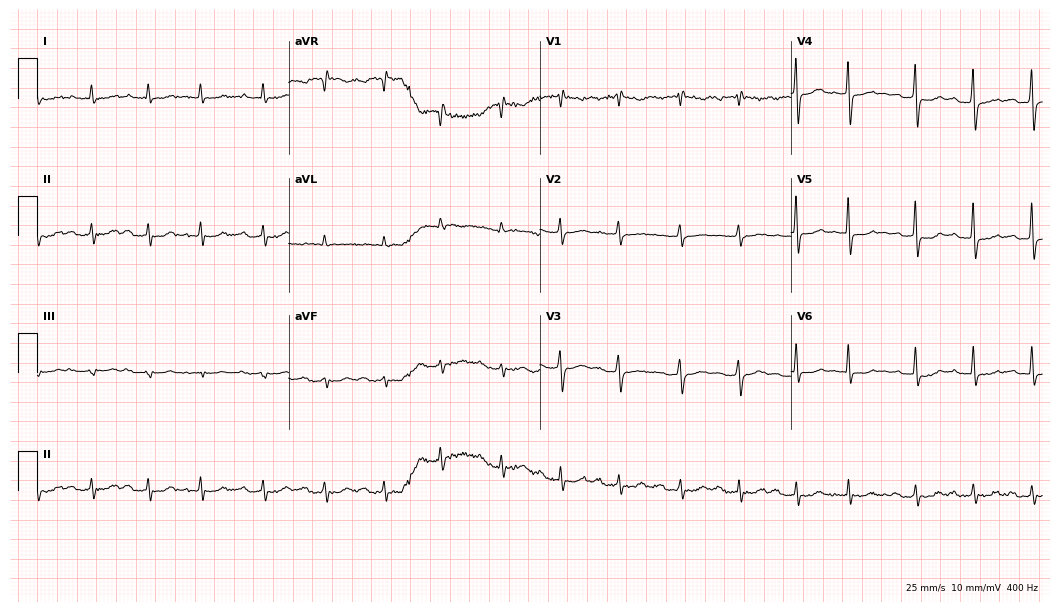
Standard 12-lead ECG recorded from a 77-year-old woman. The tracing shows sinus tachycardia (a sinus rate of 100 beats per minute or more).